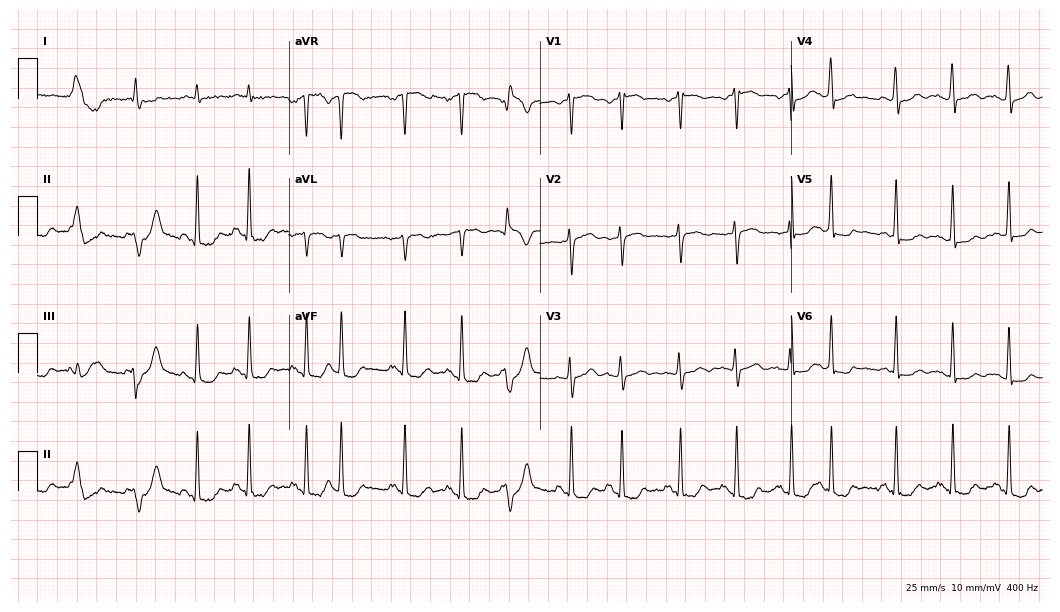
12-lead ECG (10.2-second recording at 400 Hz) from an 83-year-old male. Findings include sinus tachycardia (a sinus rate of 100 beats per minute or more).